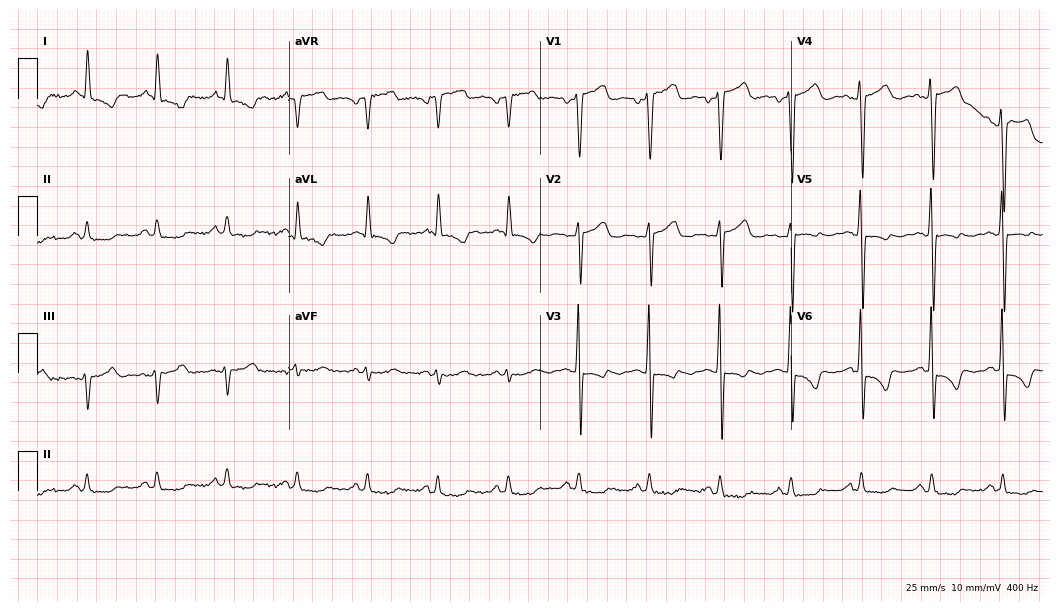
ECG (10.2-second recording at 400 Hz) — a 62-year-old male. Screened for six findings — first-degree AV block, right bundle branch block, left bundle branch block, sinus bradycardia, atrial fibrillation, sinus tachycardia — none is recorded.